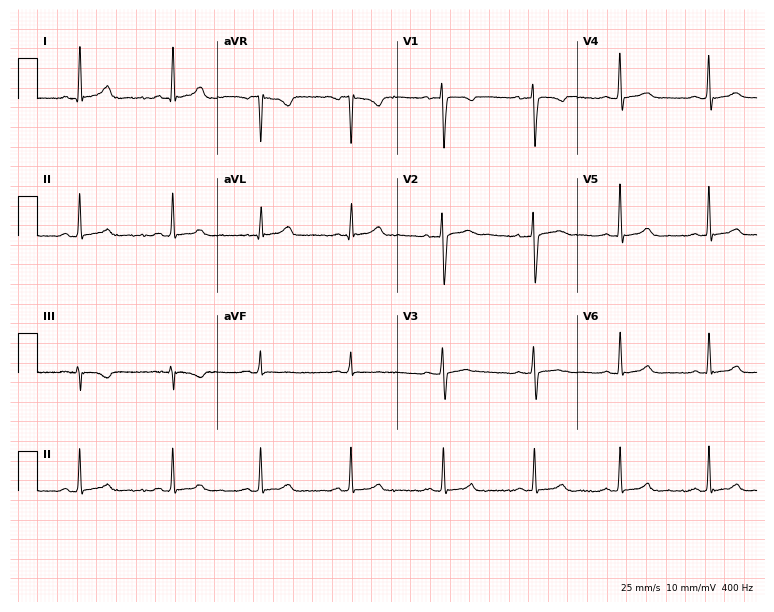
Standard 12-lead ECG recorded from a female, 34 years old. None of these six findings is recorded: first-degree AV block, right bundle branch block (RBBB), left bundle branch block (LBBB), sinus bradycardia, atrial fibrillation (AF), sinus tachycardia.